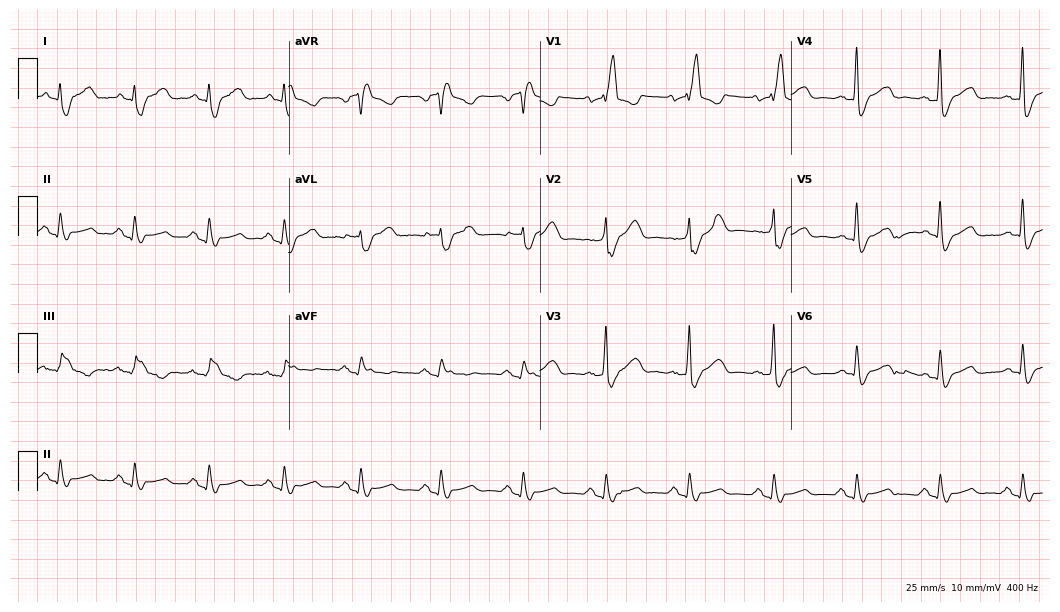
12-lead ECG (10.2-second recording at 400 Hz) from a male patient, 69 years old. Findings include right bundle branch block (RBBB).